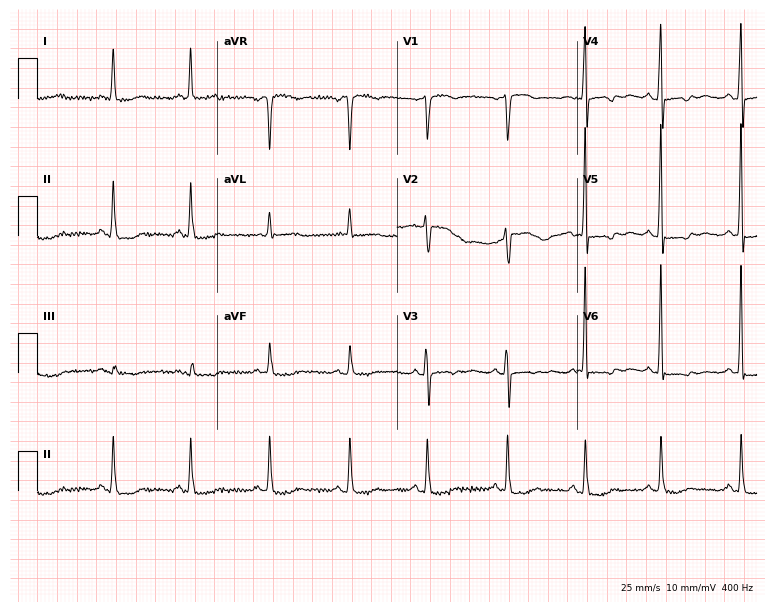
12-lead ECG from a female, 70 years old (7.3-second recording at 400 Hz). No first-degree AV block, right bundle branch block (RBBB), left bundle branch block (LBBB), sinus bradycardia, atrial fibrillation (AF) or sinus tachycardia recorded for this tracing.